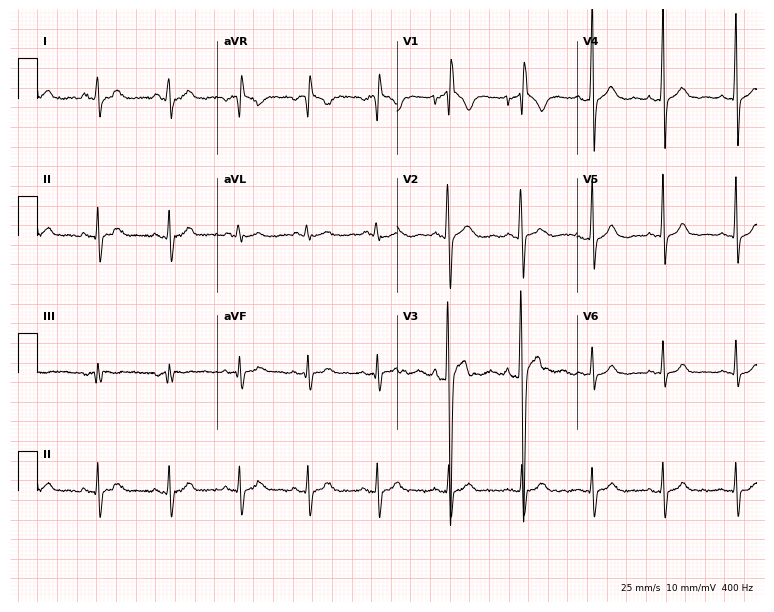
ECG (7.3-second recording at 400 Hz) — a male patient, 43 years old. Screened for six findings — first-degree AV block, right bundle branch block, left bundle branch block, sinus bradycardia, atrial fibrillation, sinus tachycardia — none is recorded. Other findings, if any, are not listed.